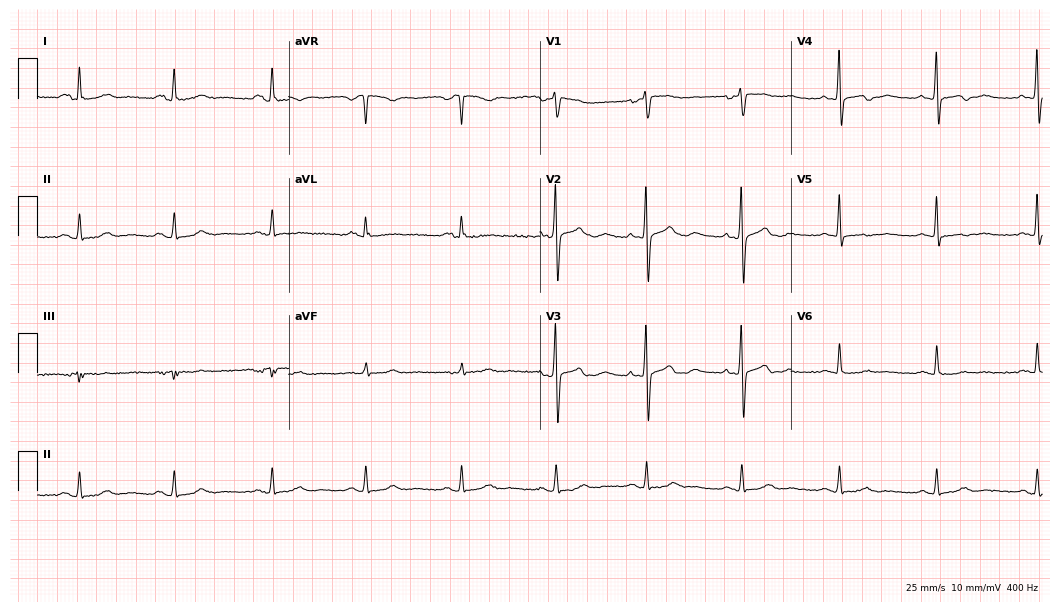
12-lead ECG from a woman, 63 years old. No first-degree AV block, right bundle branch block, left bundle branch block, sinus bradycardia, atrial fibrillation or sinus tachycardia recorded for this tracing.